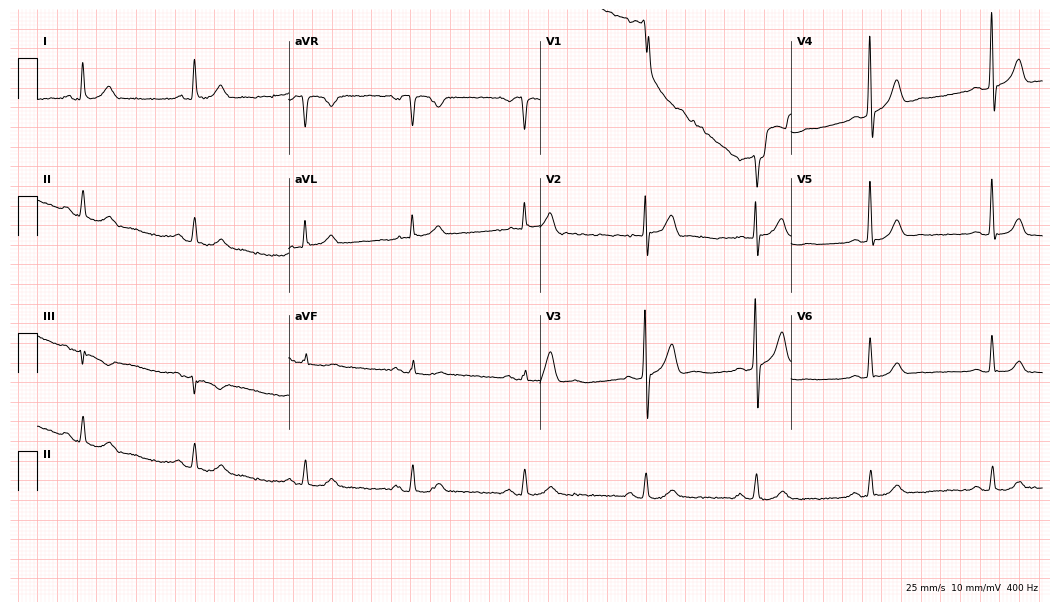
12-lead ECG from a 63-year-old male patient (10.2-second recording at 400 Hz). Recorded interpretation: within normal limits.